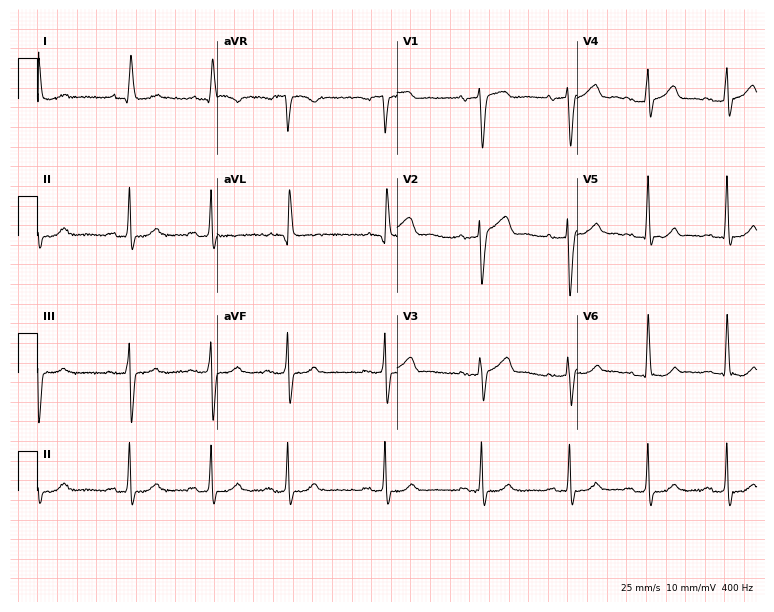
Resting 12-lead electrocardiogram. Patient: a 79-year-old male. None of these six findings is recorded: first-degree AV block, right bundle branch block, left bundle branch block, sinus bradycardia, atrial fibrillation, sinus tachycardia. Only these six findings were labelled.